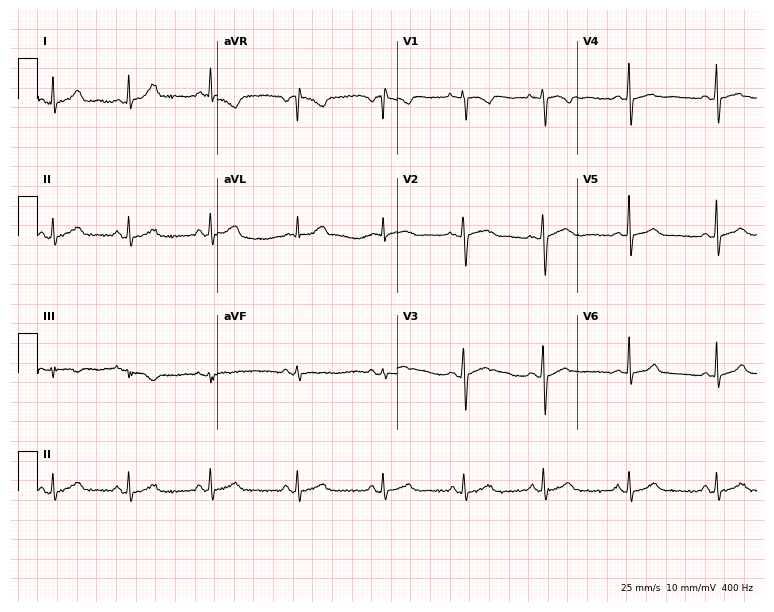
Standard 12-lead ECG recorded from a female, 29 years old (7.3-second recording at 400 Hz). None of these six findings is recorded: first-degree AV block, right bundle branch block, left bundle branch block, sinus bradycardia, atrial fibrillation, sinus tachycardia. Findings outside these six are not listed.